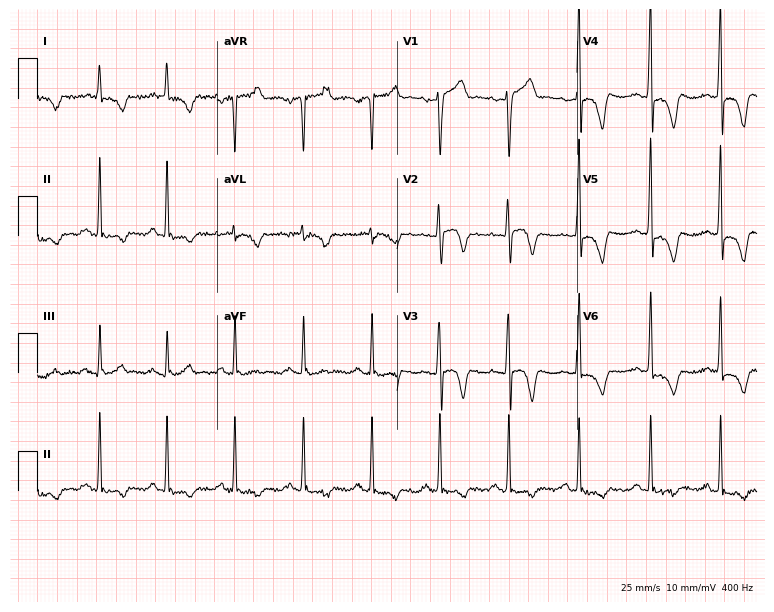
Resting 12-lead electrocardiogram. Patient: a male, 52 years old. None of these six findings is recorded: first-degree AV block, right bundle branch block (RBBB), left bundle branch block (LBBB), sinus bradycardia, atrial fibrillation (AF), sinus tachycardia. Other findings, if any, are not listed.